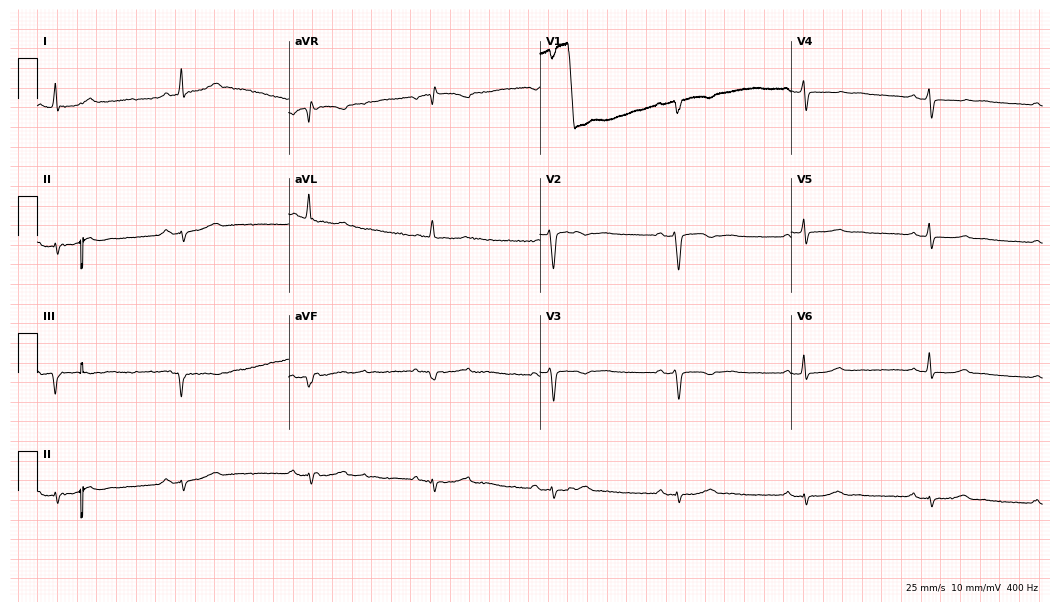
12-lead ECG from a 75-year-old woman. Screened for six findings — first-degree AV block, right bundle branch block, left bundle branch block, sinus bradycardia, atrial fibrillation, sinus tachycardia — none is recorded. Findings outside these six are not listed.